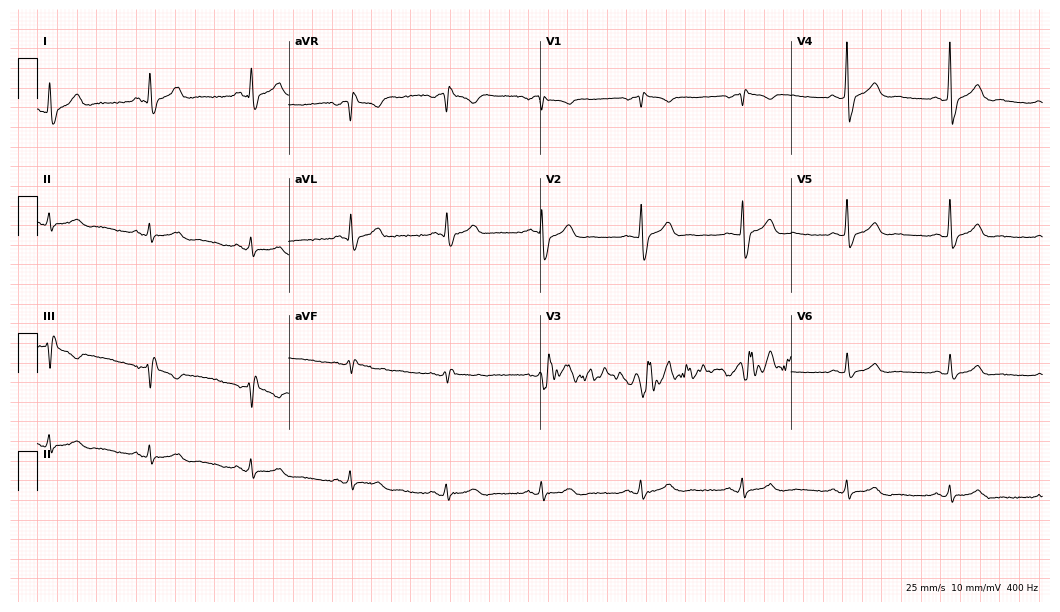
12-lead ECG from a 62-year-old male patient. Shows right bundle branch block (RBBB).